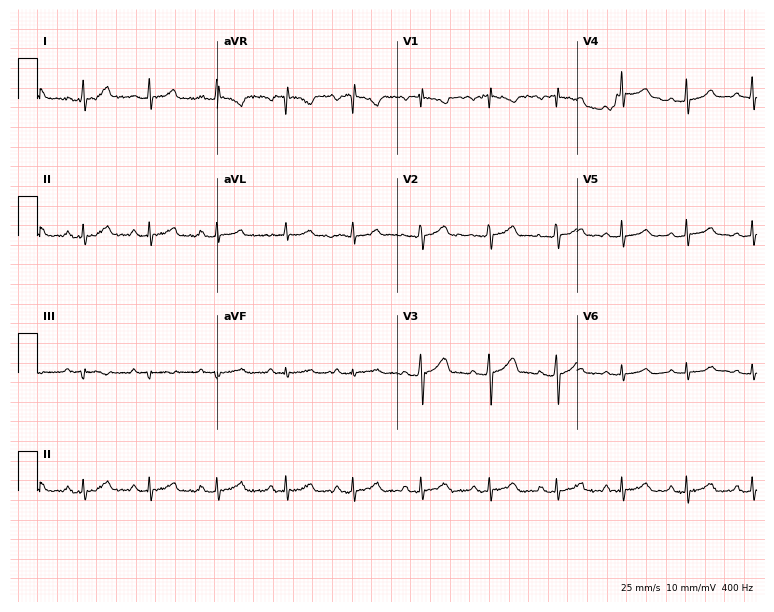
12-lead ECG (7.3-second recording at 400 Hz) from a 22-year-old female. Labelled as a normal ECG.